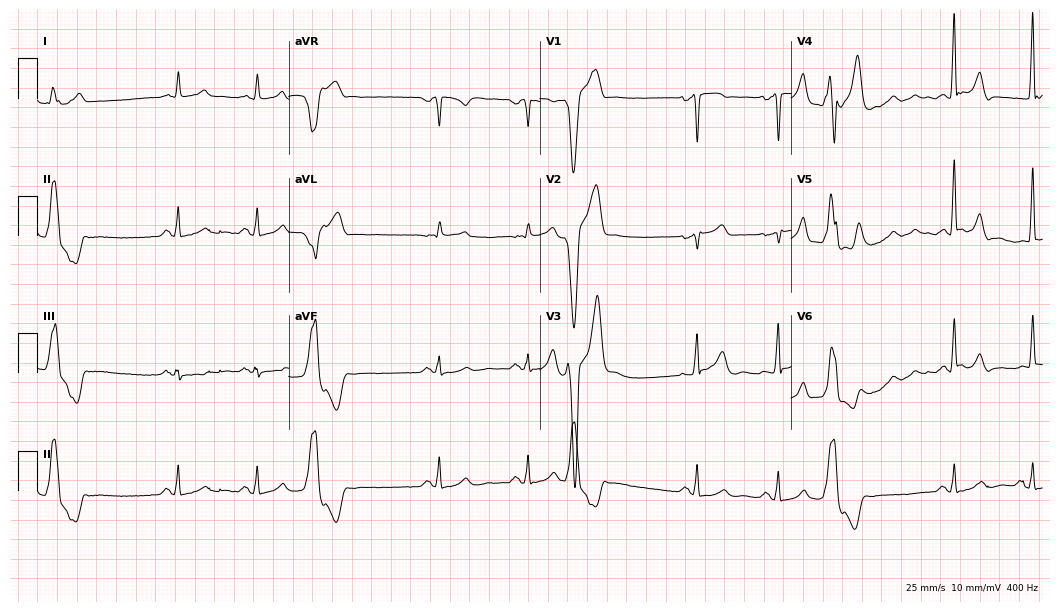
12-lead ECG from a 47-year-old male (10.2-second recording at 400 Hz). No first-degree AV block, right bundle branch block, left bundle branch block, sinus bradycardia, atrial fibrillation or sinus tachycardia recorded for this tracing.